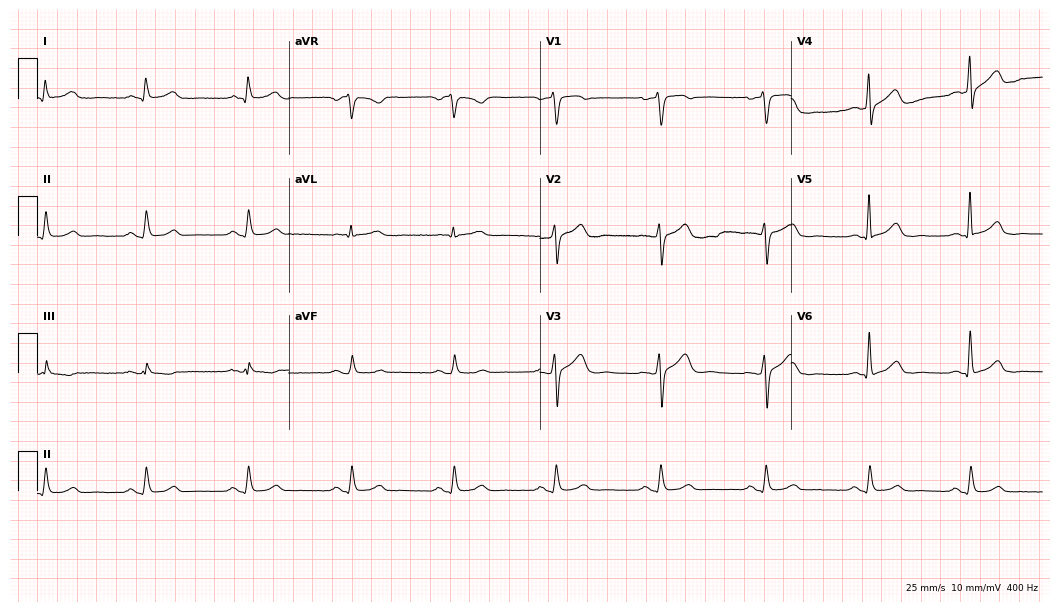
Resting 12-lead electrocardiogram. Patient: a male, 59 years old. Read as a normal ECG.